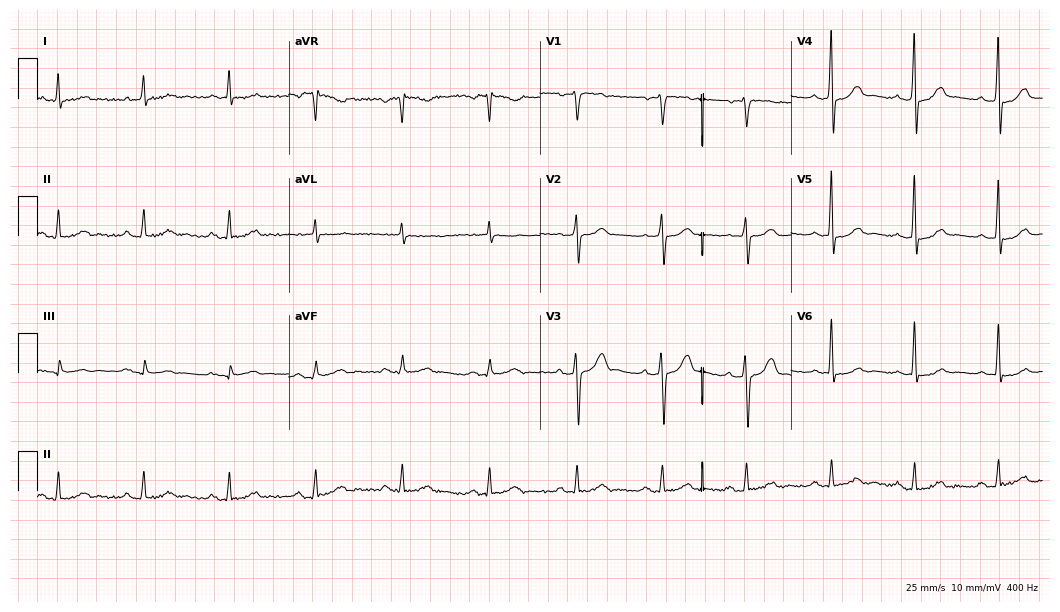
Resting 12-lead electrocardiogram. Patient: a 62-year-old male. None of these six findings is recorded: first-degree AV block, right bundle branch block (RBBB), left bundle branch block (LBBB), sinus bradycardia, atrial fibrillation (AF), sinus tachycardia. Only these six findings were labelled.